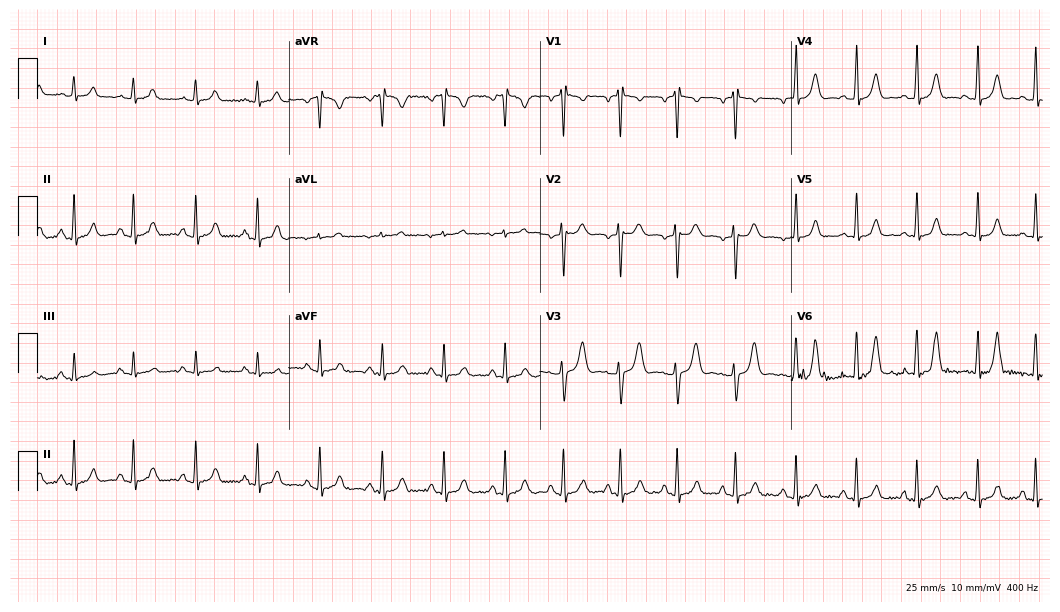
ECG (10.2-second recording at 400 Hz) — a 19-year-old female. Screened for six findings — first-degree AV block, right bundle branch block, left bundle branch block, sinus bradycardia, atrial fibrillation, sinus tachycardia — none is recorded. Findings outside these six are not listed.